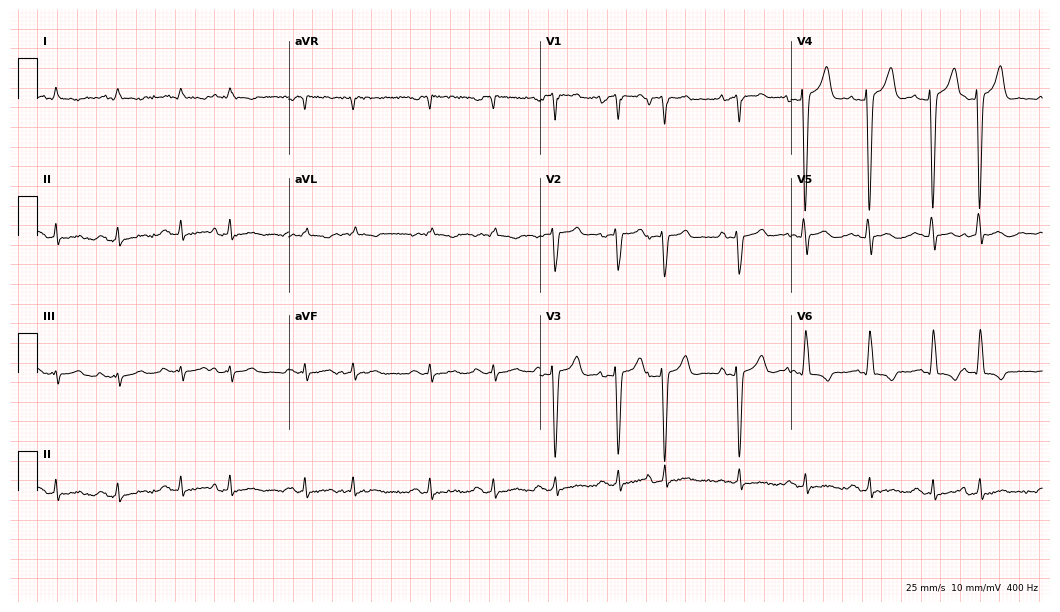
Standard 12-lead ECG recorded from a man, 81 years old. None of these six findings is recorded: first-degree AV block, right bundle branch block (RBBB), left bundle branch block (LBBB), sinus bradycardia, atrial fibrillation (AF), sinus tachycardia. Only these six findings were labelled.